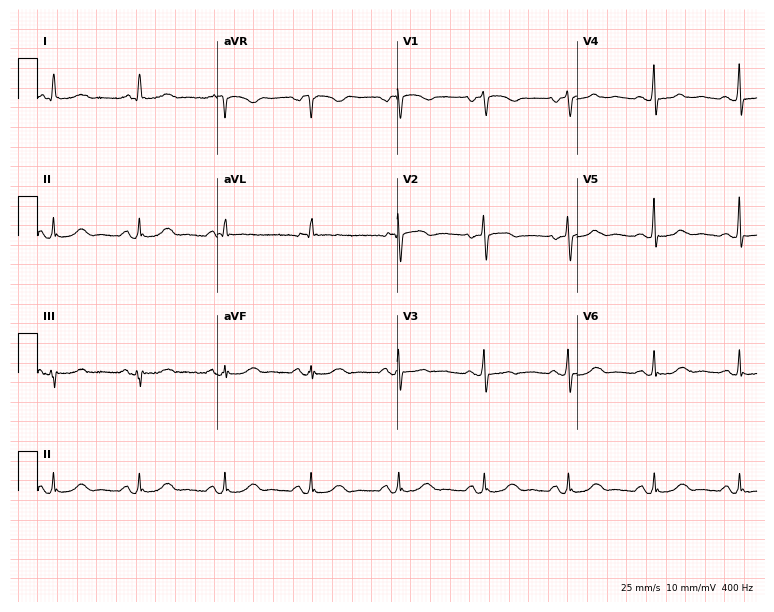
12-lead ECG from a woman, 71 years old. Recorded interpretation: within normal limits.